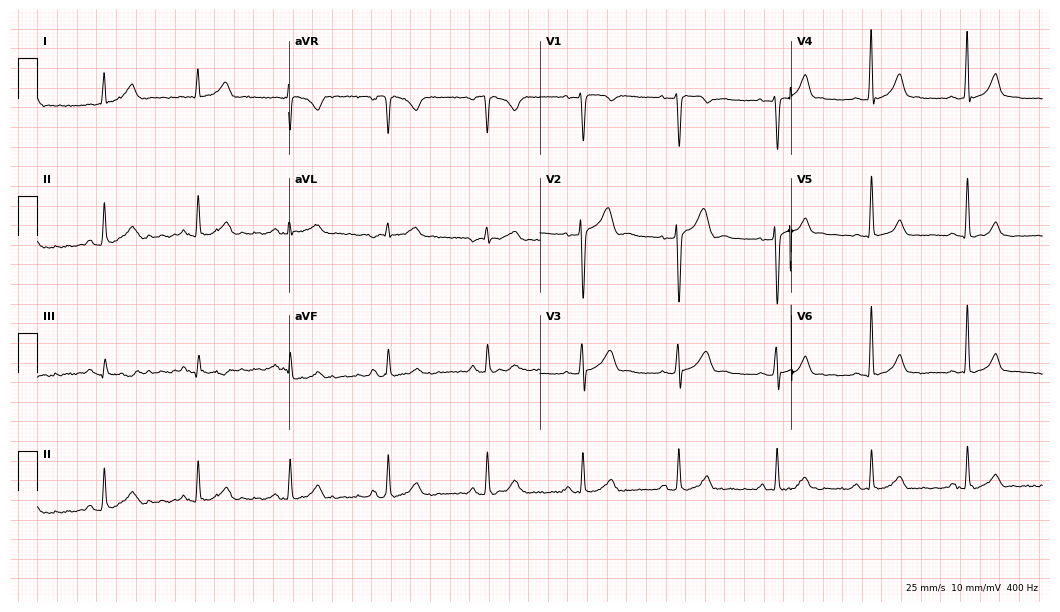
12-lead ECG (10.2-second recording at 400 Hz) from a 28-year-old male. Labelled as a normal ECG.